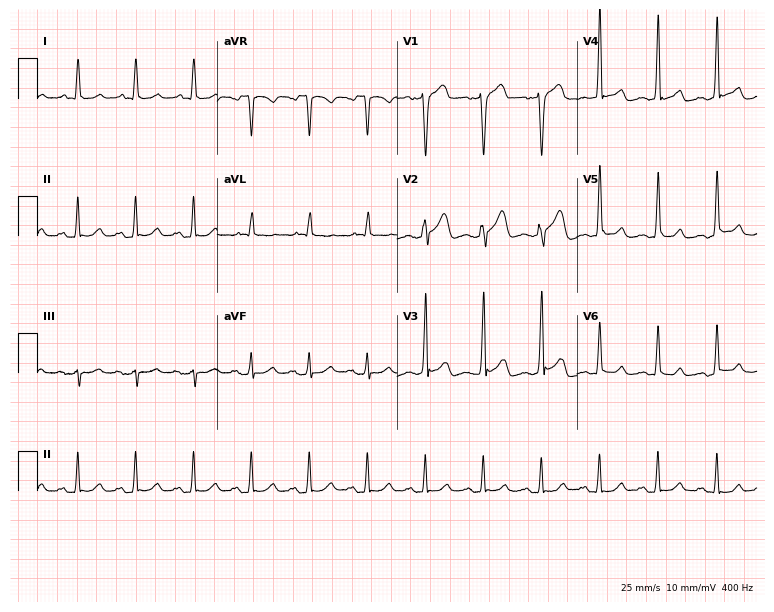
Electrocardiogram, a man, 53 years old. Interpretation includes sinus tachycardia (a sinus rate of 100 beats per minute or more).